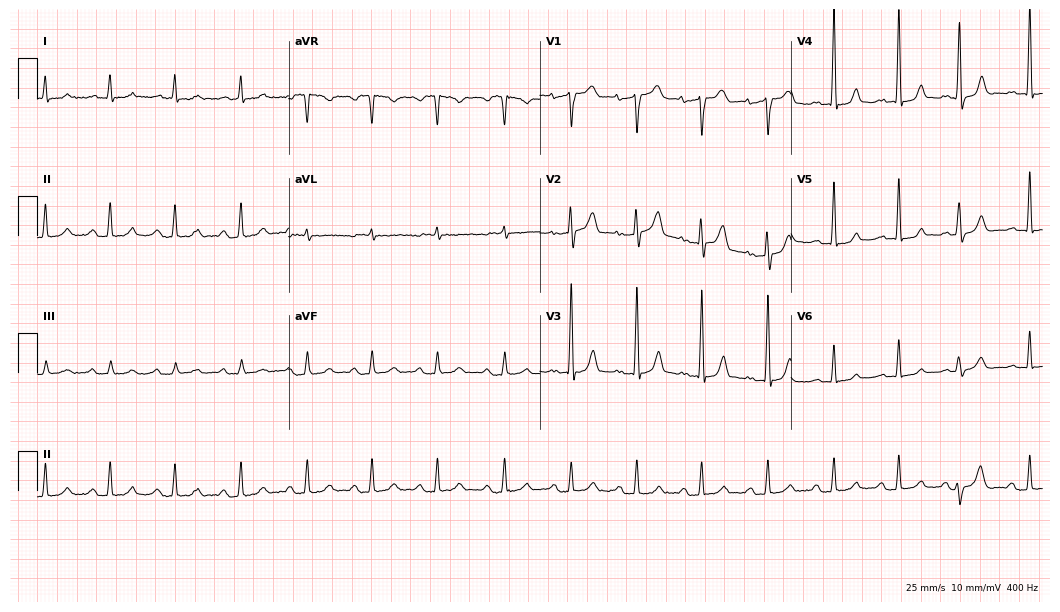
Resting 12-lead electrocardiogram. Patient: a 76-year-old male. Read as a normal ECG.